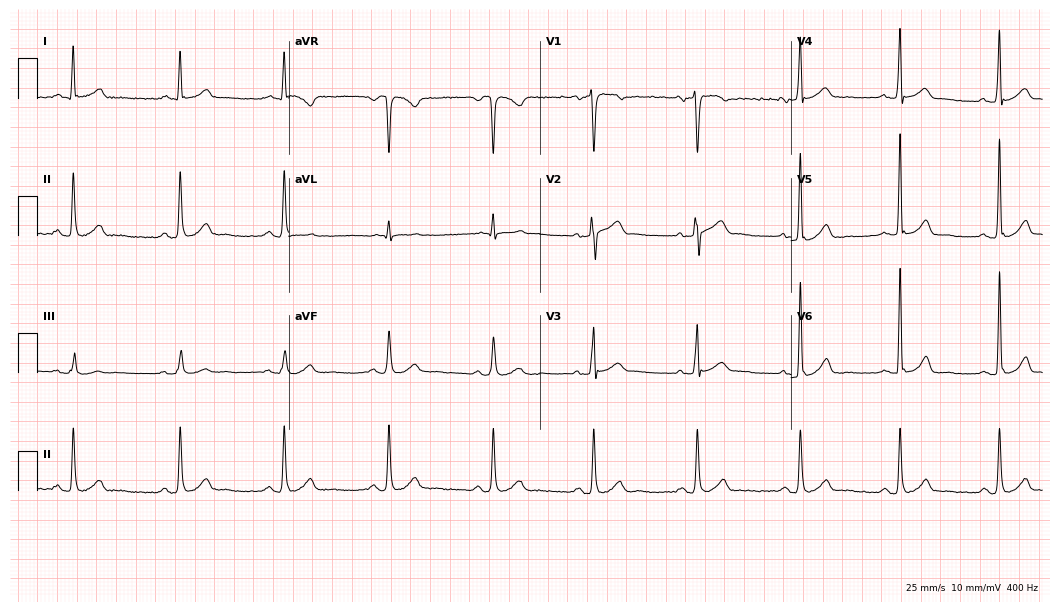
Electrocardiogram (10.2-second recording at 400 Hz), a 51-year-old man. Of the six screened findings (first-degree AV block, right bundle branch block (RBBB), left bundle branch block (LBBB), sinus bradycardia, atrial fibrillation (AF), sinus tachycardia), none is recorded. Other findings, if any, are not listed.